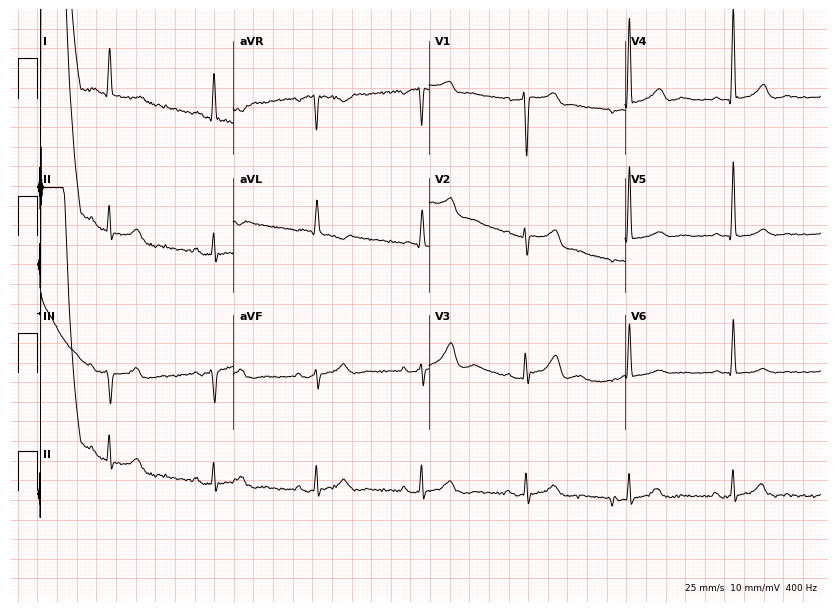
12-lead ECG from a woman, 85 years old. No first-degree AV block, right bundle branch block, left bundle branch block, sinus bradycardia, atrial fibrillation or sinus tachycardia recorded for this tracing. Only these six findings were labelled.